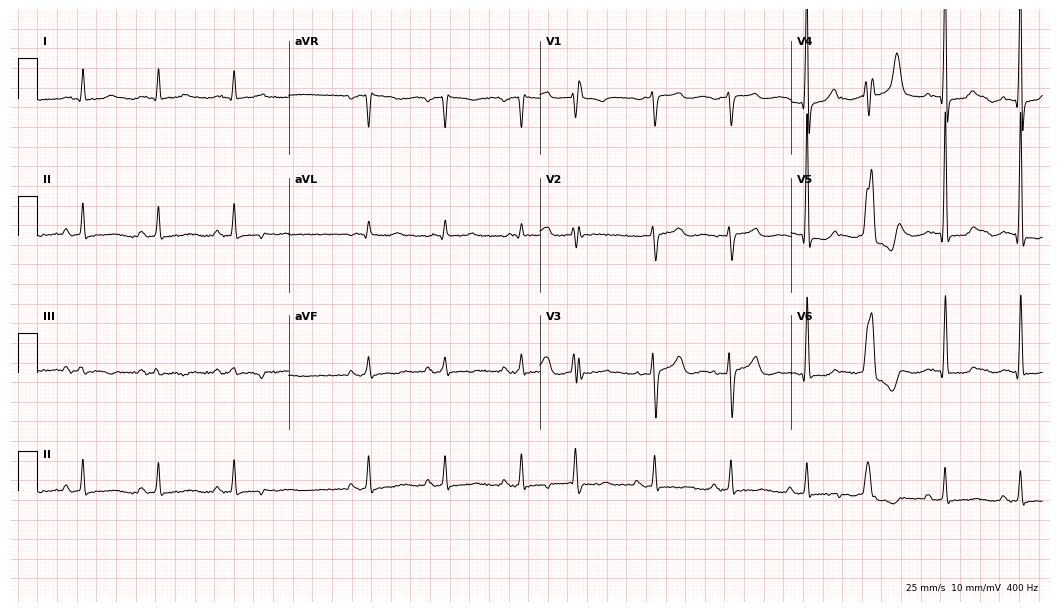
Electrocardiogram, a male, 70 years old. Of the six screened findings (first-degree AV block, right bundle branch block, left bundle branch block, sinus bradycardia, atrial fibrillation, sinus tachycardia), none is recorded.